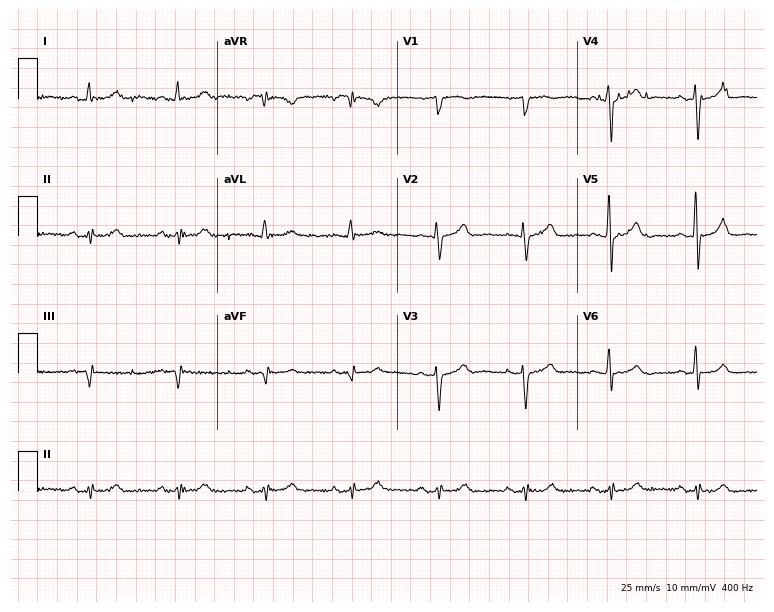
Electrocardiogram, a male patient, 64 years old. Of the six screened findings (first-degree AV block, right bundle branch block, left bundle branch block, sinus bradycardia, atrial fibrillation, sinus tachycardia), none is recorded. Findings outside these six are not listed.